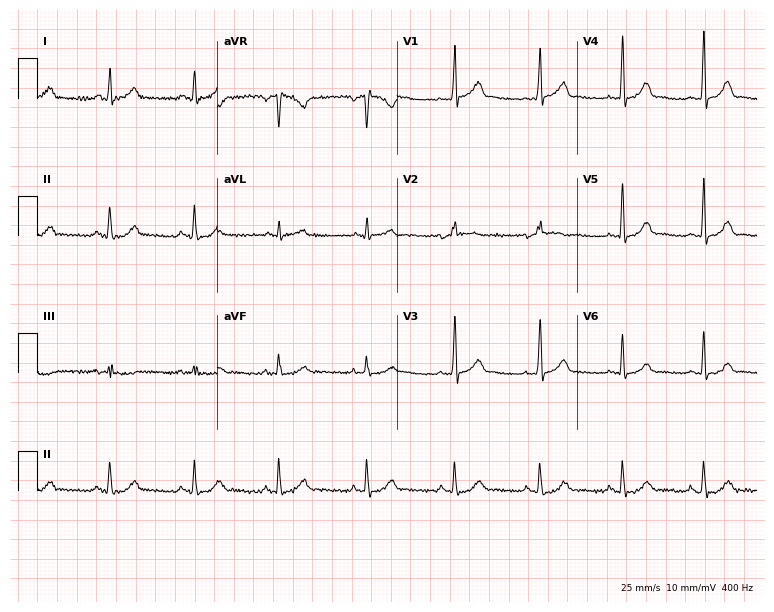
ECG (7.3-second recording at 400 Hz) — a 71-year-old male patient. Labelled as a normal ECG.